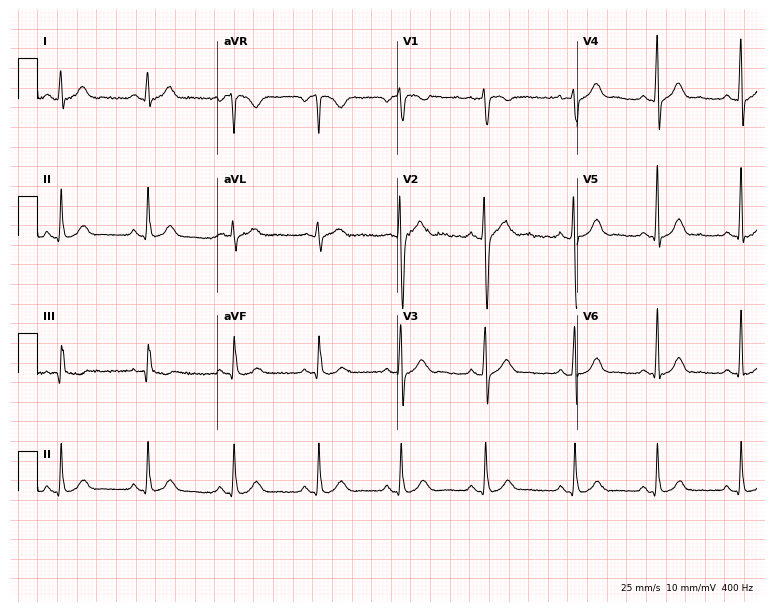
12-lead ECG (7.3-second recording at 400 Hz) from a 28-year-old man. Labelled as a normal ECG.